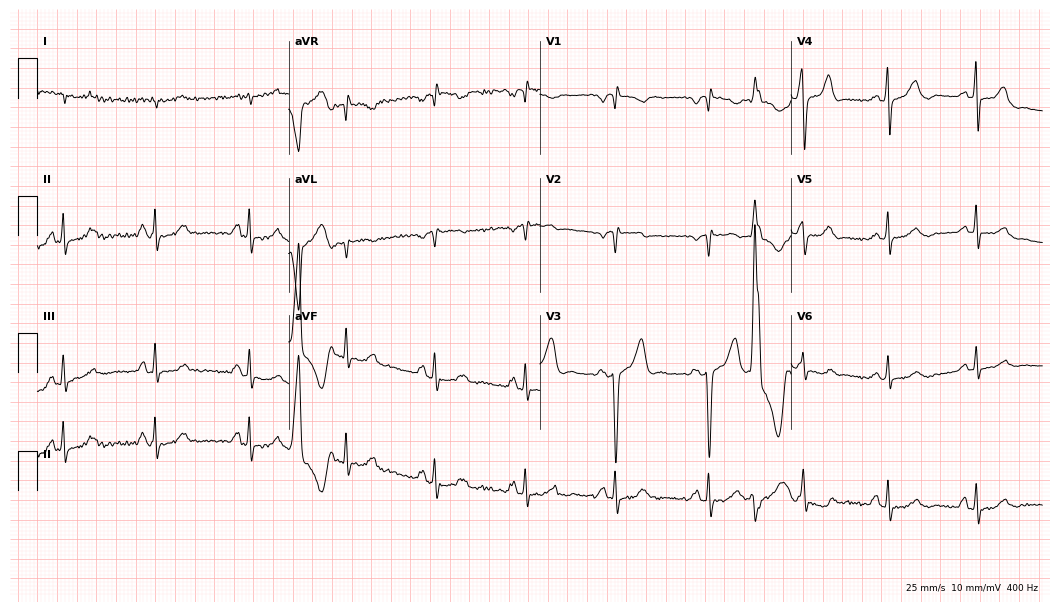
ECG — an 82-year-old male. Screened for six findings — first-degree AV block, right bundle branch block, left bundle branch block, sinus bradycardia, atrial fibrillation, sinus tachycardia — none is recorded.